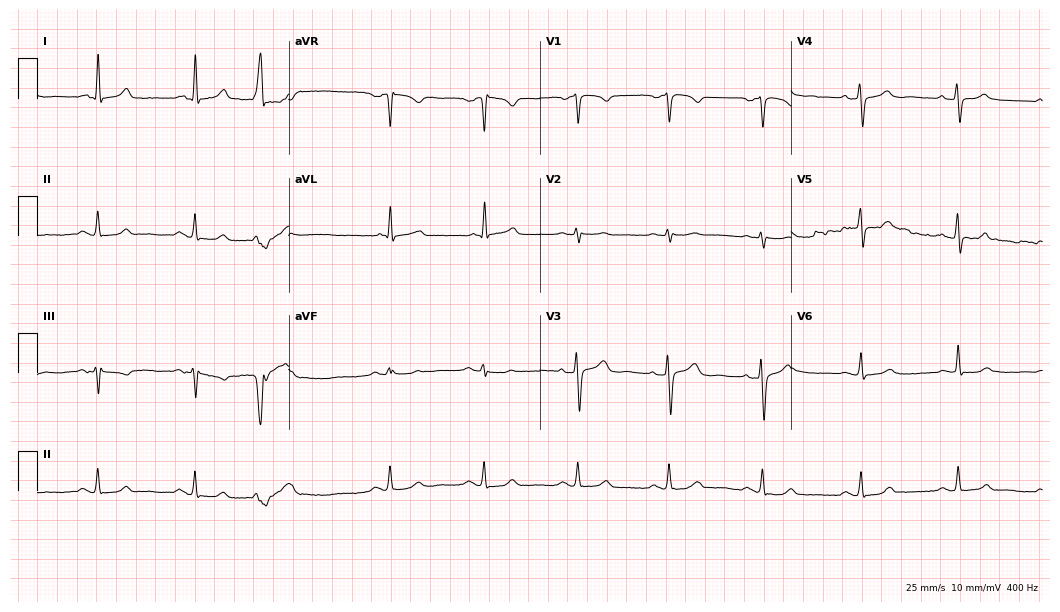
Standard 12-lead ECG recorded from a female, 62 years old. None of these six findings is recorded: first-degree AV block, right bundle branch block, left bundle branch block, sinus bradycardia, atrial fibrillation, sinus tachycardia. Other findings, if any, are not listed.